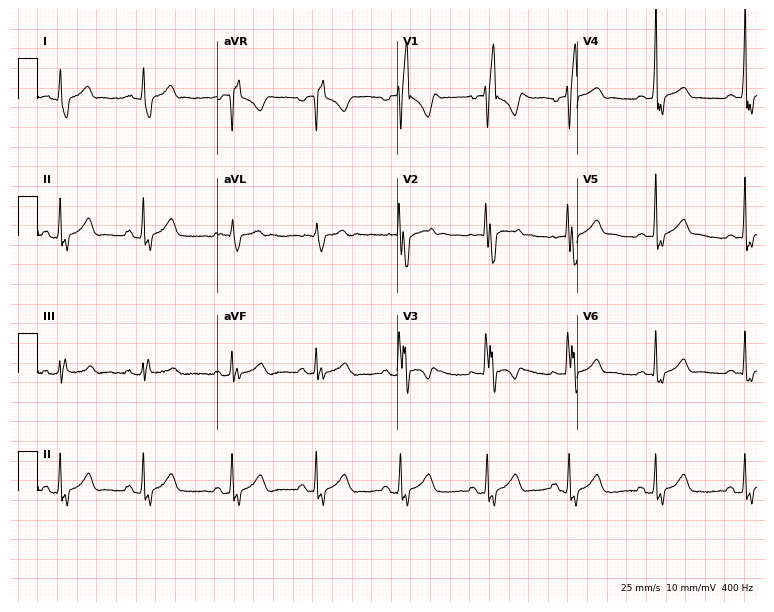
Resting 12-lead electrocardiogram (7.3-second recording at 400 Hz). Patient: a 26-year-old male. The tracing shows right bundle branch block.